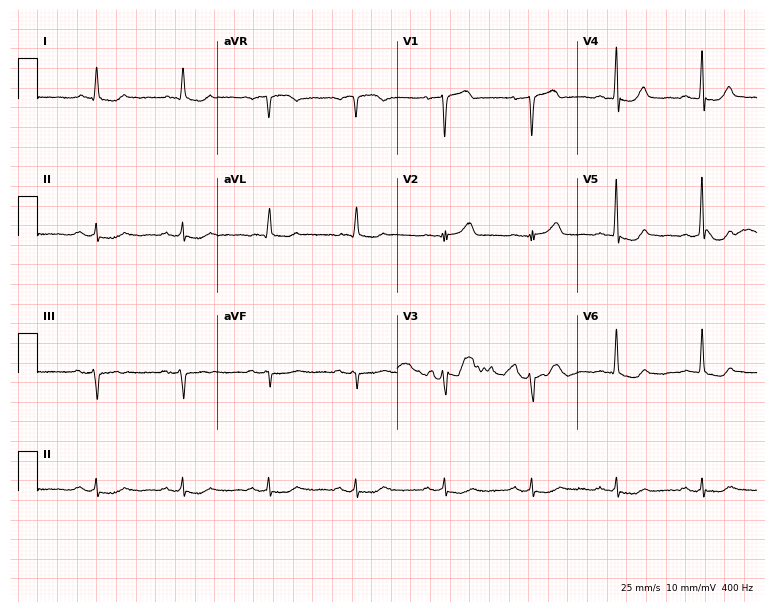
Electrocardiogram, a 78-year-old male patient. Of the six screened findings (first-degree AV block, right bundle branch block, left bundle branch block, sinus bradycardia, atrial fibrillation, sinus tachycardia), none is recorded.